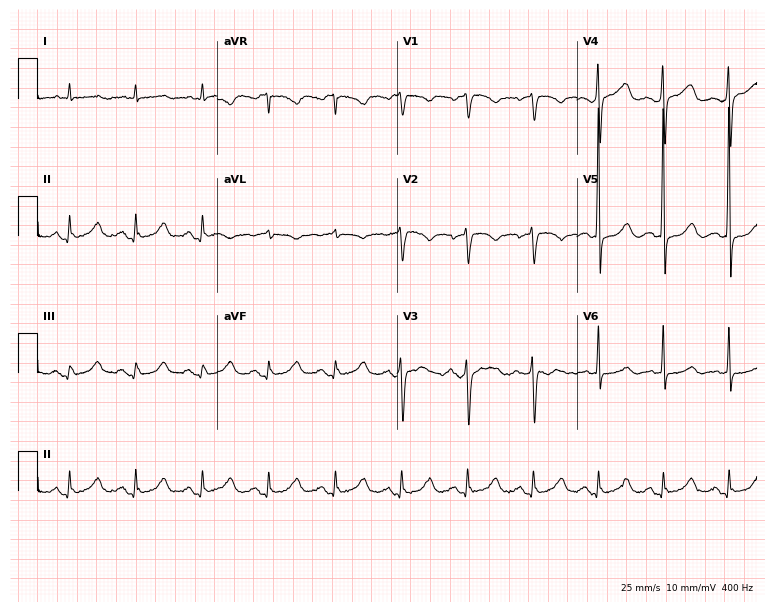
12-lead ECG from a male, 66 years old. No first-degree AV block, right bundle branch block, left bundle branch block, sinus bradycardia, atrial fibrillation or sinus tachycardia recorded for this tracing.